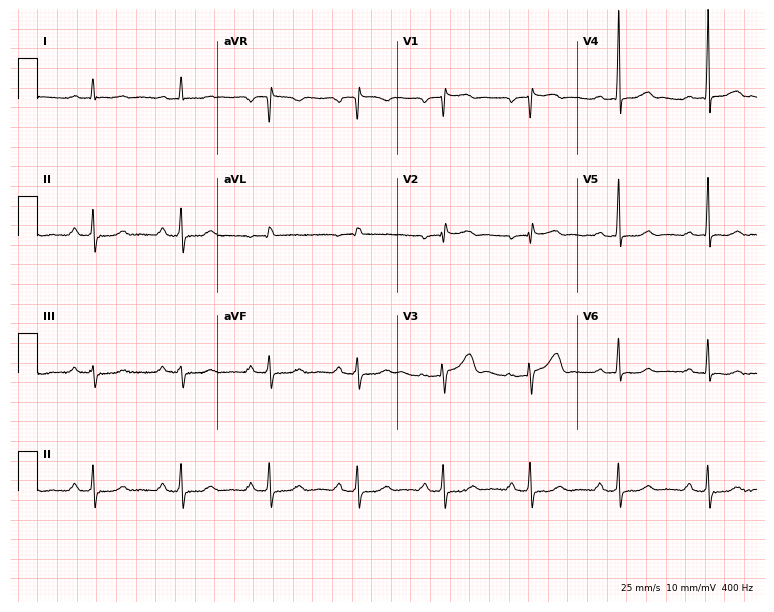
Resting 12-lead electrocardiogram. Patient: a 37-year-old male. The tracing shows first-degree AV block.